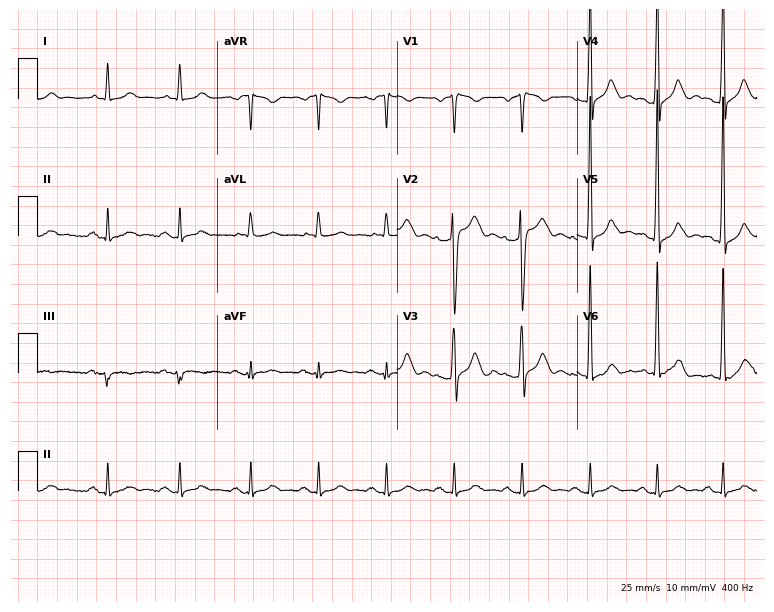
ECG (7.3-second recording at 400 Hz) — a 58-year-old male patient. Labelled as a normal ECG.